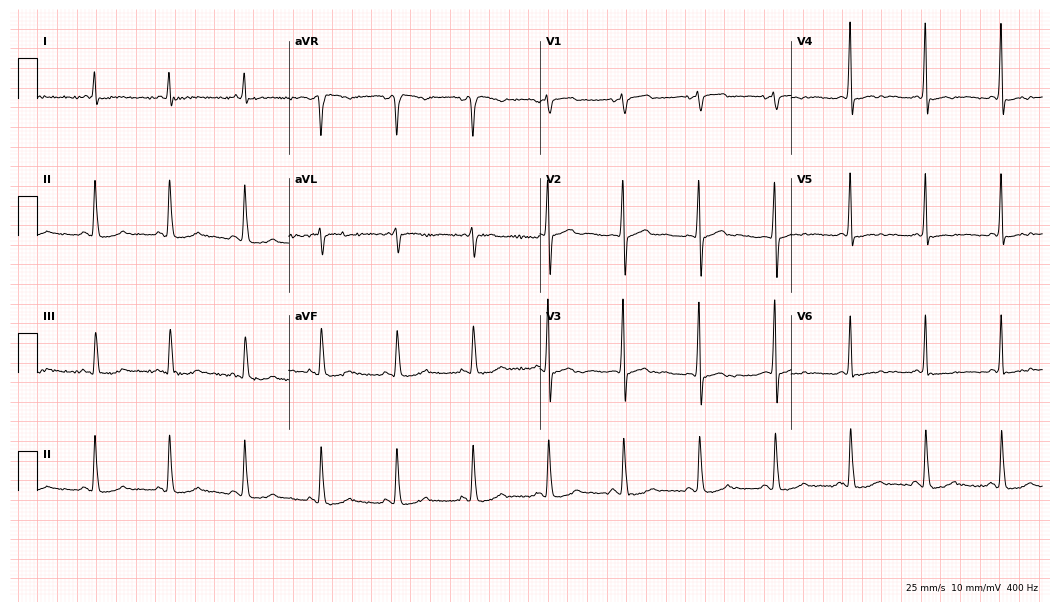
Electrocardiogram (10.2-second recording at 400 Hz), a 73-year-old woman. Of the six screened findings (first-degree AV block, right bundle branch block, left bundle branch block, sinus bradycardia, atrial fibrillation, sinus tachycardia), none is recorded. Other findings, if any, are not listed.